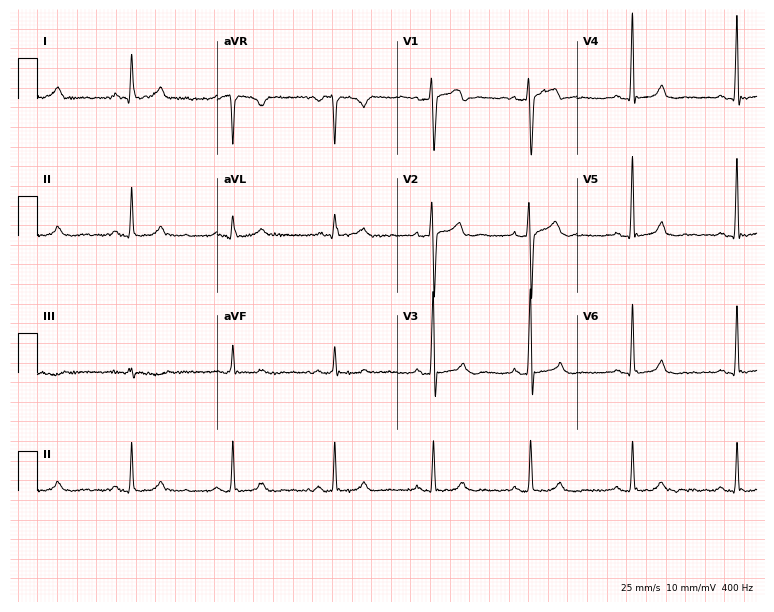
12-lead ECG from a 38-year-old male patient. Screened for six findings — first-degree AV block, right bundle branch block, left bundle branch block, sinus bradycardia, atrial fibrillation, sinus tachycardia — none is recorded. Findings outside these six are not listed.